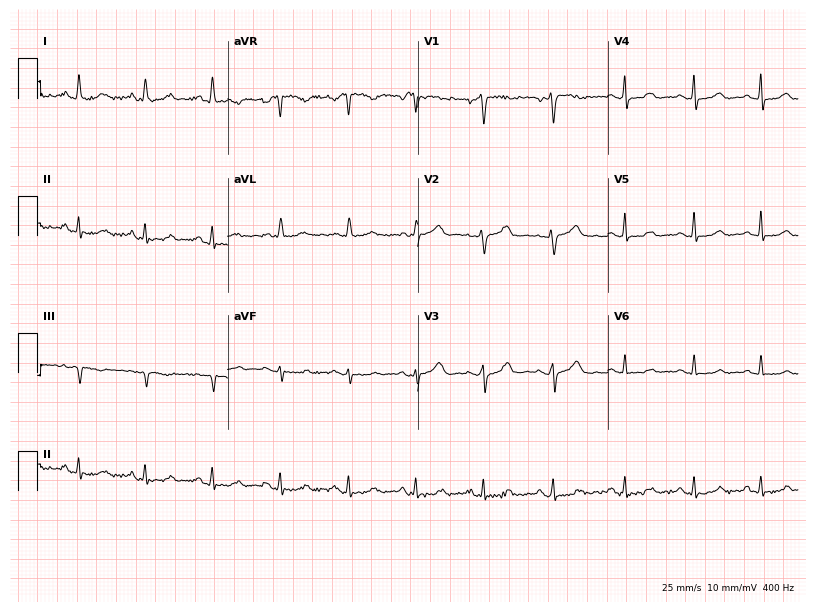
Standard 12-lead ECG recorded from a woman, 48 years old. Read as a normal ECG.